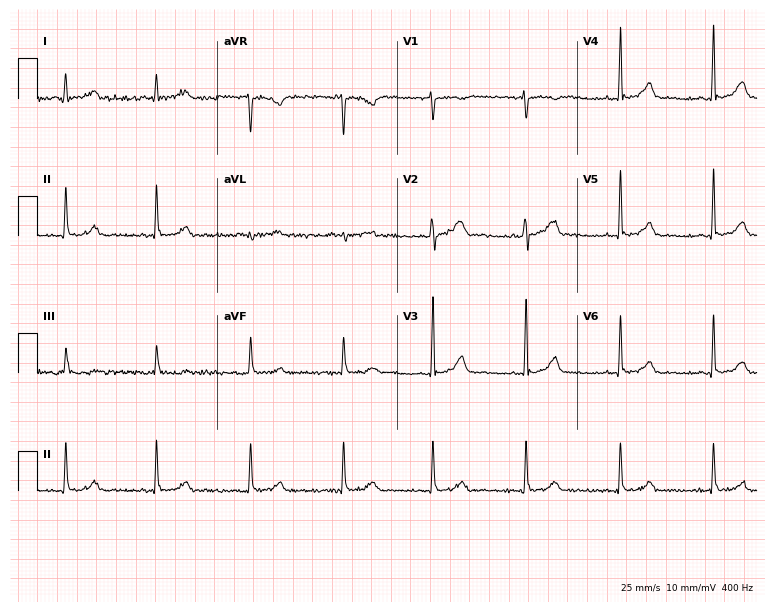
Standard 12-lead ECG recorded from a 45-year-old woman. Read as a normal ECG.